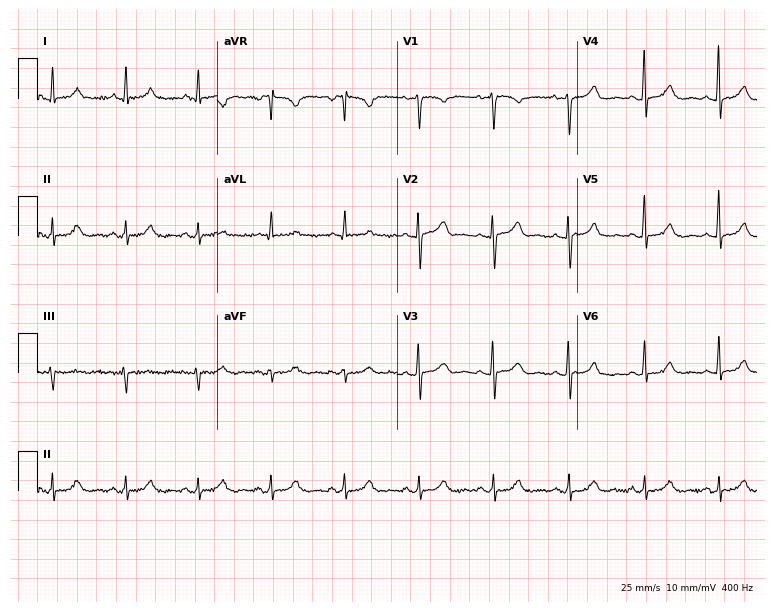
12-lead ECG from a 46-year-old female patient (7.3-second recording at 400 Hz). Recorded interpretation: within normal limits.